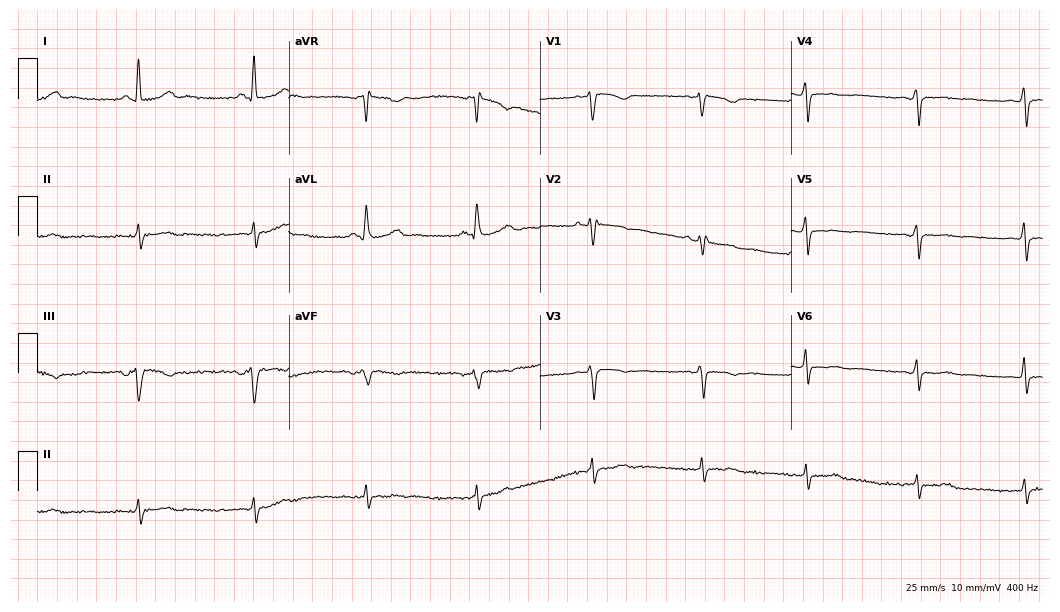
ECG (10.2-second recording at 400 Hz) — a 56-year-old female patient. Screened for six findings — first-degree AV block, right bundle branch block, left bundle branch block, sinus bradycardia, atrial fibrillation, sinus tachycardia — none is recorded. Other findings, if any, are not listed.